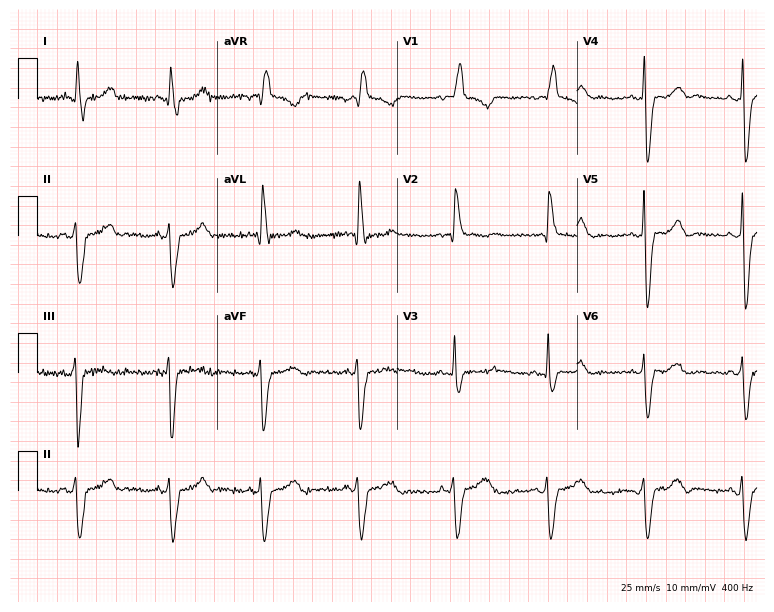
Standard 12-lead ECG recorded from a 77-year-old man (7.3-second recording at 400 Hz). The tracing shows right bundle branch block.